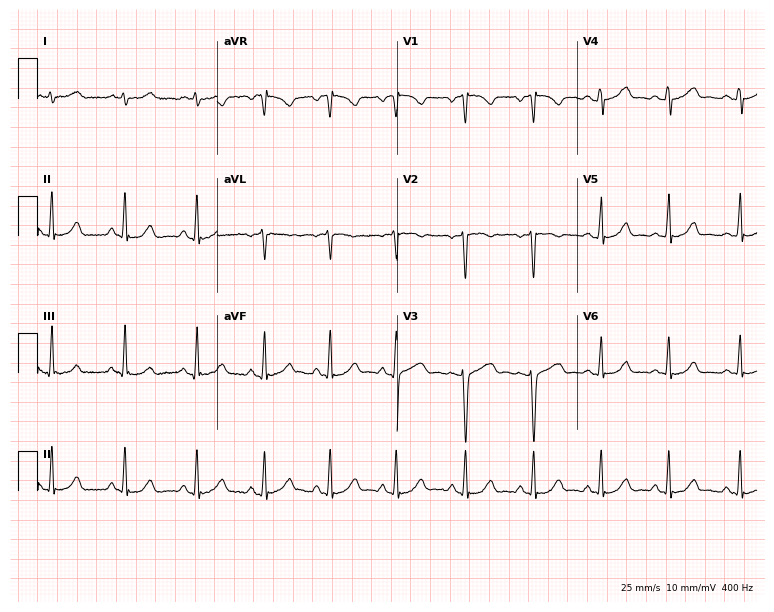
Electrocardiogram (7.3-second recording at 400 Hz), a 30-year-old woman. Of the six screened findings (first-degree AV block, right bundle branch block, left bundle branch block, sinus bradycardia, atrial fibrillation, sinus tachycardia), none is recorded. Other findings, if any, are not listed.